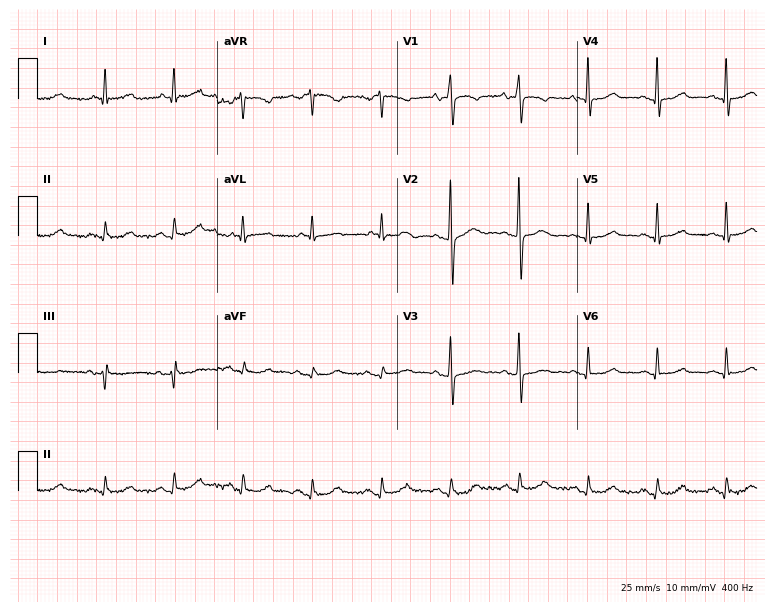
Electrocardiogram (7.3-second recording at 400 Hz), a female, 72 years old. Overall reading on record: normal ECG.